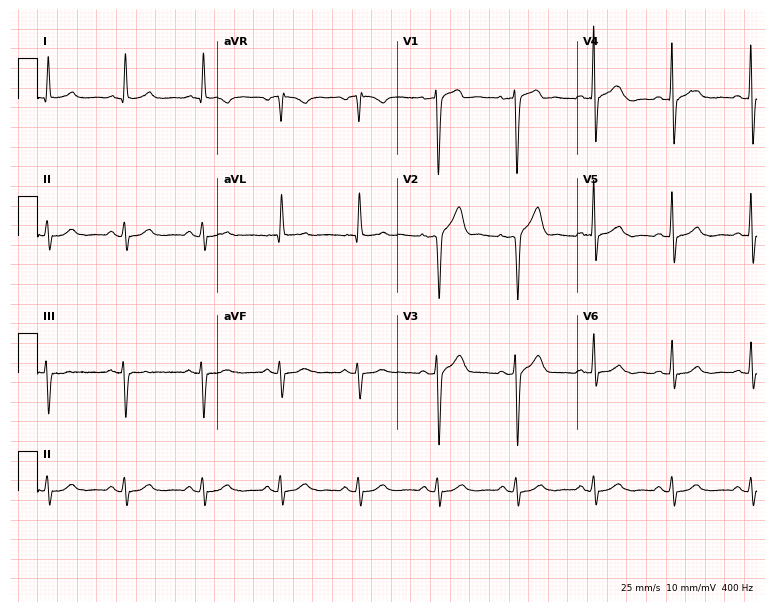
ECG (7.3-second recording at 400 Hz) — a male, 75 years old. Screened for six findings — first-degree AV block, right bundle branch block (RBBB), left bundle branch block (LBBB), sinus bradycardia, atrial fibrillation (AF), sinus tachycardia — none is recorded. Findings outside these six are not listed.